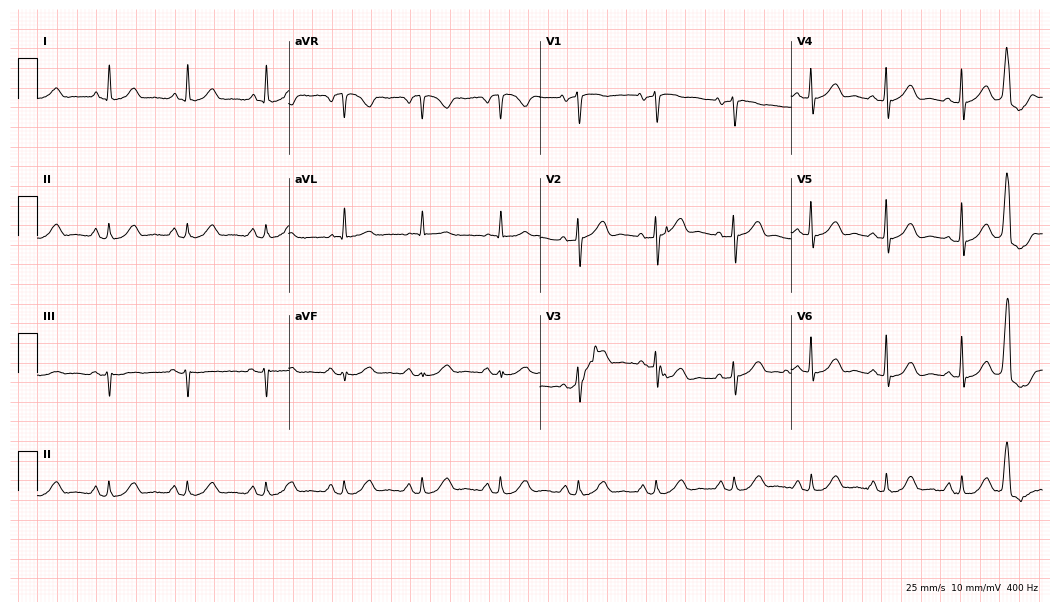
12-lead ECG (10.2-second recording at 400 Hz) from a woman, 83 years old. Labelled as a normal ECG.